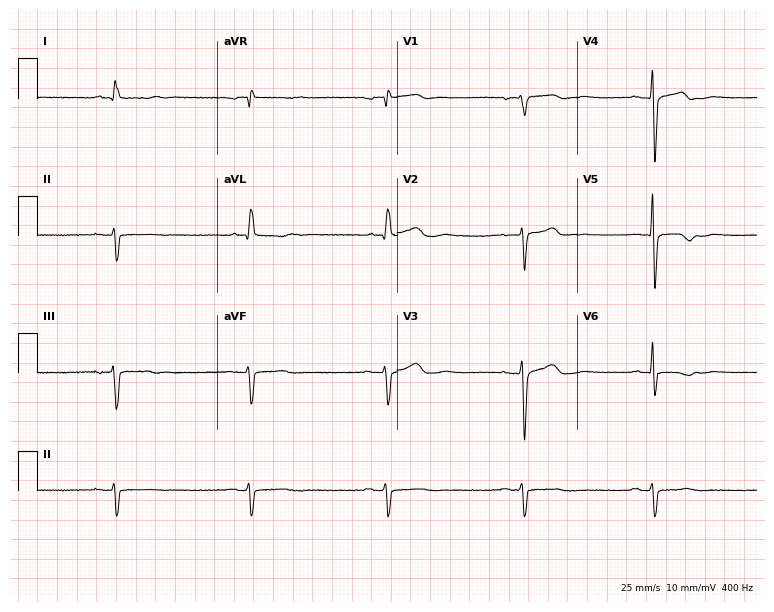
ECG (7.3-second recording at 400 Hz) — a man, 80 years old. Findings include sinus bradycardia (a sinus rate of 50 beats per minute or less).